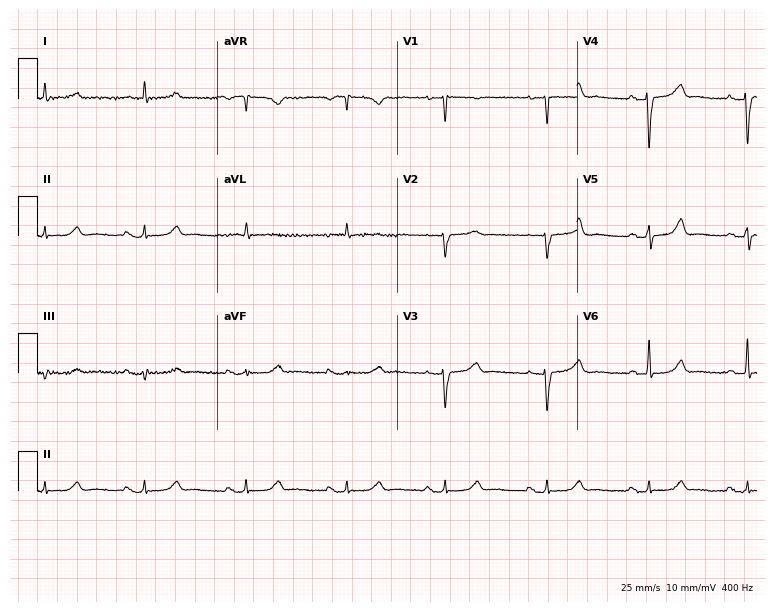
12-lead ECG from a woman, 69 years old. Recorded interpretation: within normal limits.